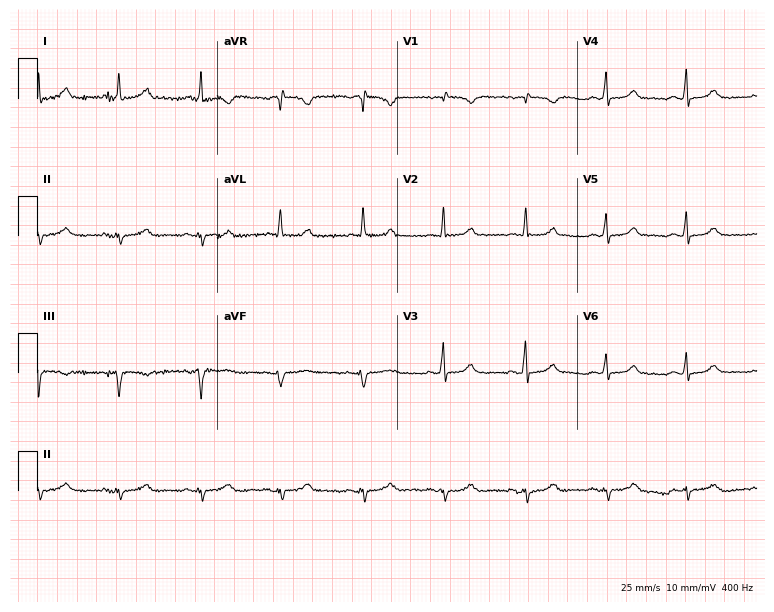
12-lead ECG (7.3-second recording at 400 Hz) from an 85-year-old female patient. Screened for six findings — first-degree AV block, right bundle branch block (RBBB), left bundle branch block (LBBB), sinus bradycardia, atrial fibrillation (AF), sinus tachycardia — none is recorded.